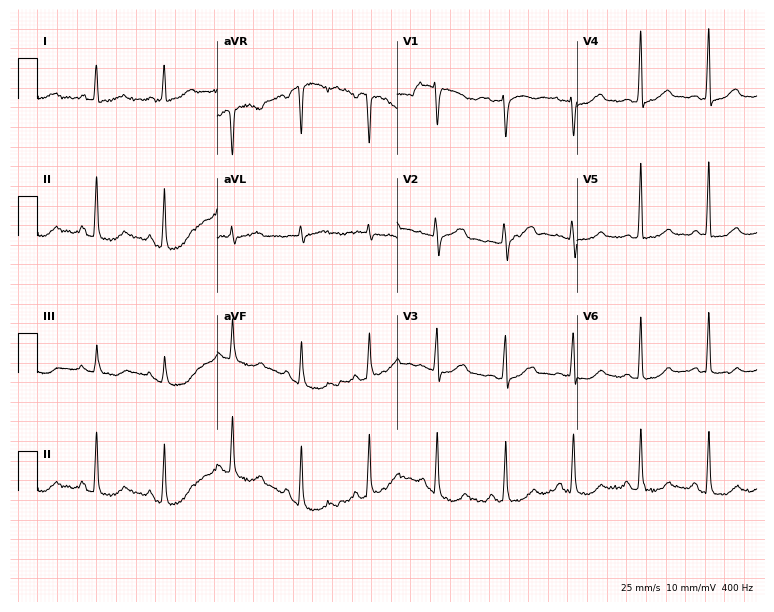
Electrocardiogram, a 64-year-old female. Overall reading on record: normal ECG.